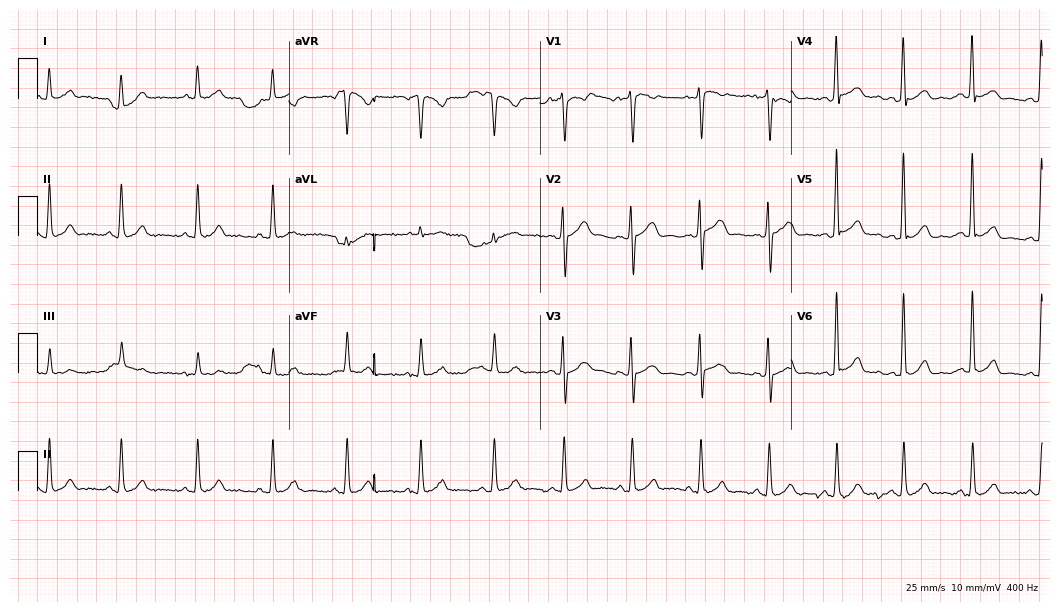
Electrocardiogram (10.2-second recording at 400 Hz), a 42-year-old male patient. Of the six screened findings (first-degree AV block, right bundle branch block, left bundle branch block, sinus bradycardia, atrial fibrillation, sinus tachycardia), none is recorded. Other findings, if any, are not listed.